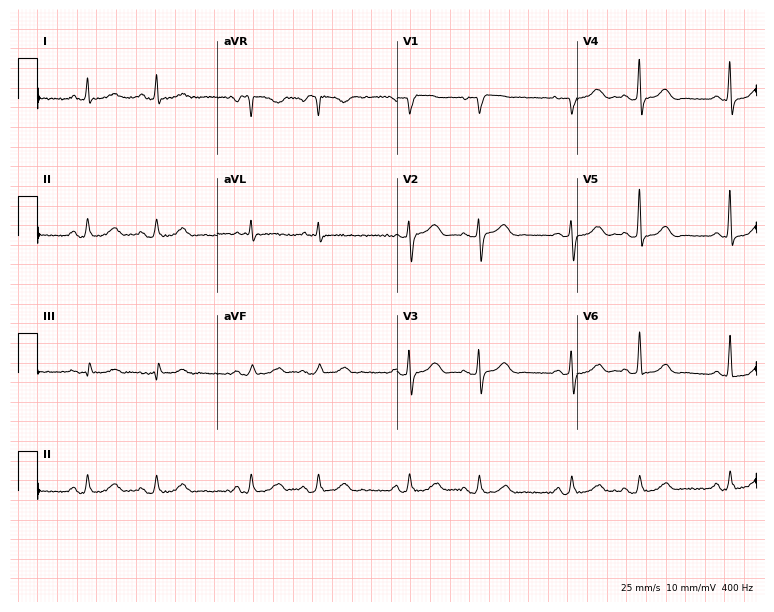
Standard 12-lead ECG recorded from a woman, 69 years old (7.3-second recording at 400 Hz). None of these six findings is recorded: first-degree AV block, right bundle branch block (RBBB), left bundle branch block (LBBB), sinus bradycardia, atrial fibrillation (AF), sinus tachycardia.